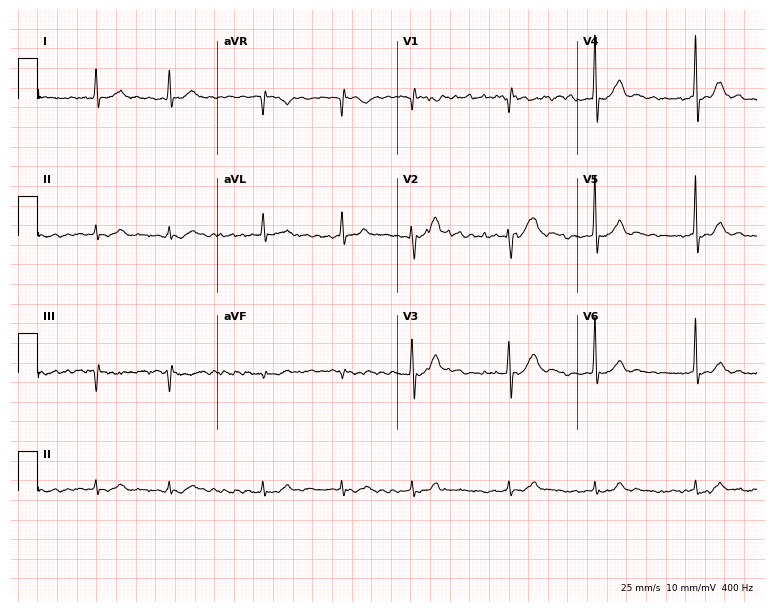
Standard 12-lead ECG recorded from a man, 71 years old (7.3-second recording at 400 Hz). The tracing shows atrial fibrillation (AF).